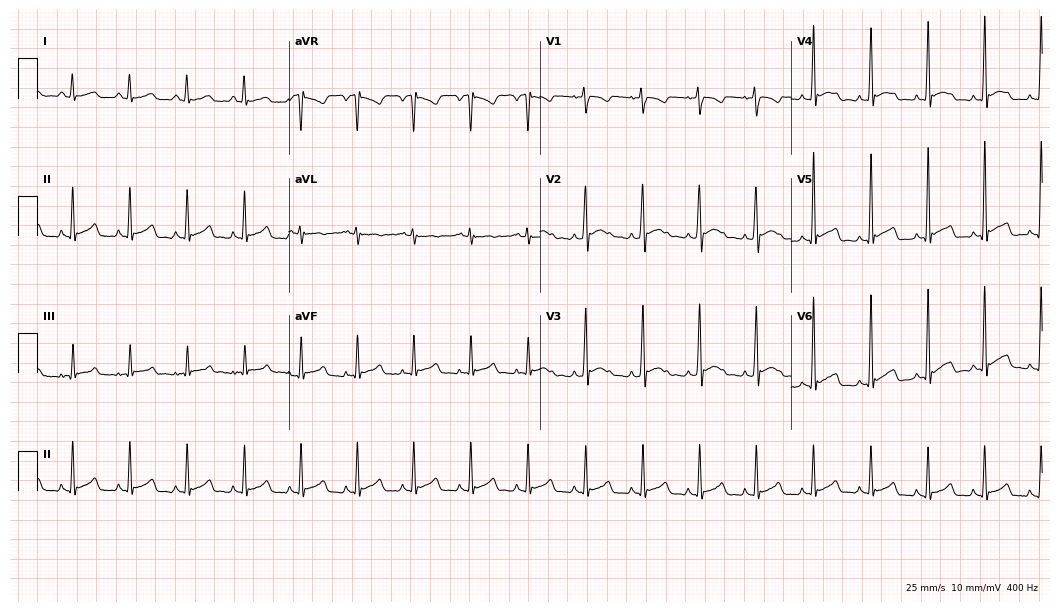
12-lead ECG from a 28-year-old woman. Findings include sinus tachycardia (a sinus rate of 100 beats per minute or more).